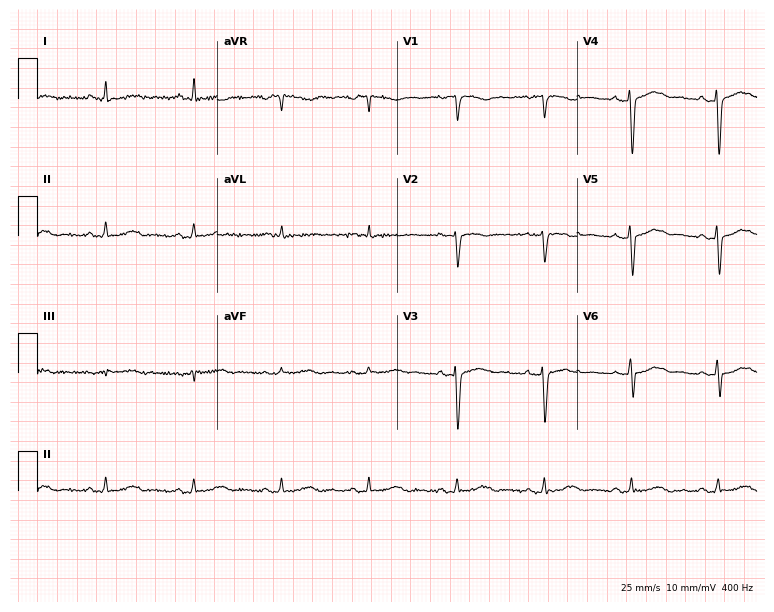
12-lead ECG from a female patient, 39 years old. No first-degree AV block, right bundle branch block, left bundle branch block, sinus bradycardia, atrial fibrillation or sinus tachycardia recorded for this tracing. Other findings, if any, are not listed.